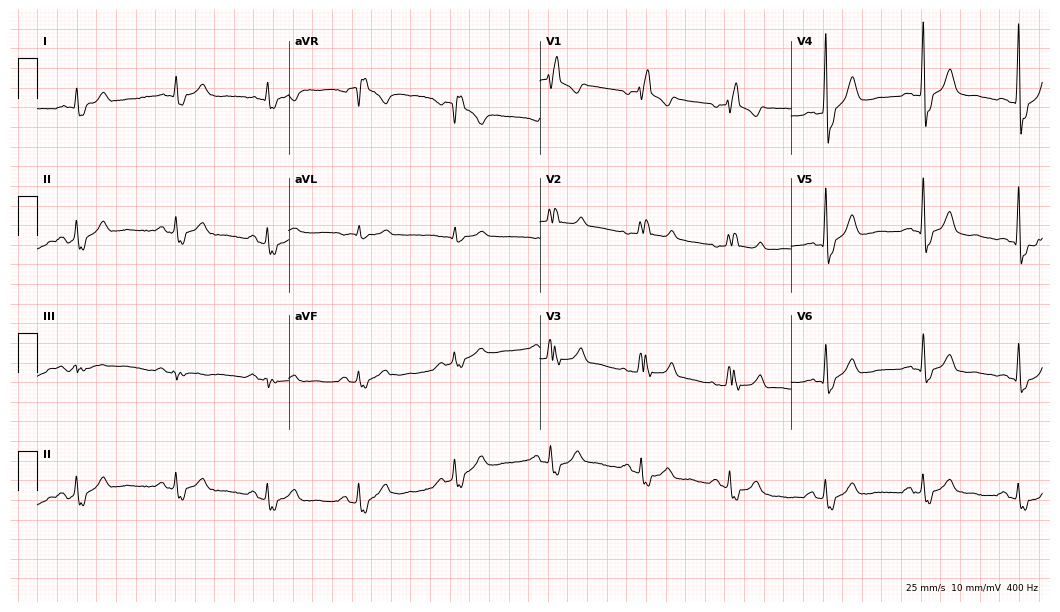
ECG — a male, 55 years old. Findings include right bundle branch block.